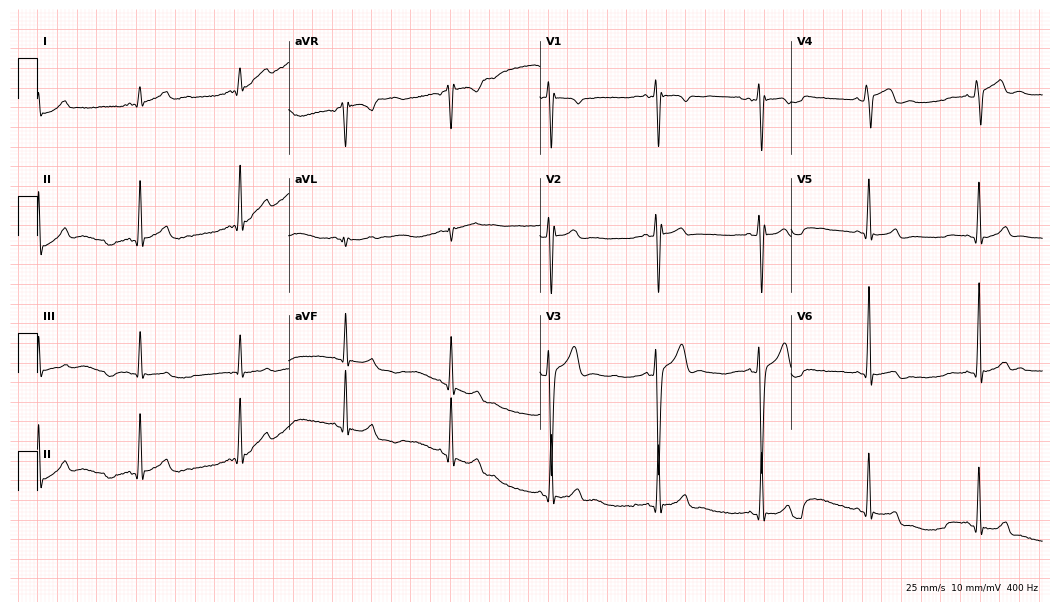
Standard 12-lead ECG recorded from a male patient, 19 years old (10.2-second recording at 400 Hz). None of these six findings is recorded: first-degree AV block, right bundle branch block, left bundle branch block, sinus bradycardia, atrial fibrillation, sinus tachycardia.